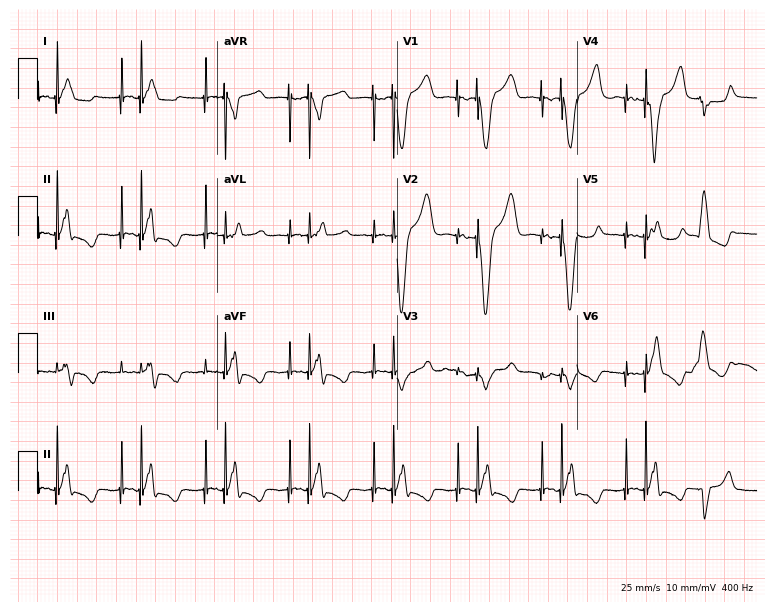
12-lead ECG from an 80-year-old man. No first-degree AV block, right bundle branch block (RBBB), left bundle branch block (LBBB), sinus bradycardia, atrial fibrillation (AF) or sinus tachycardia recorded for this tracing.